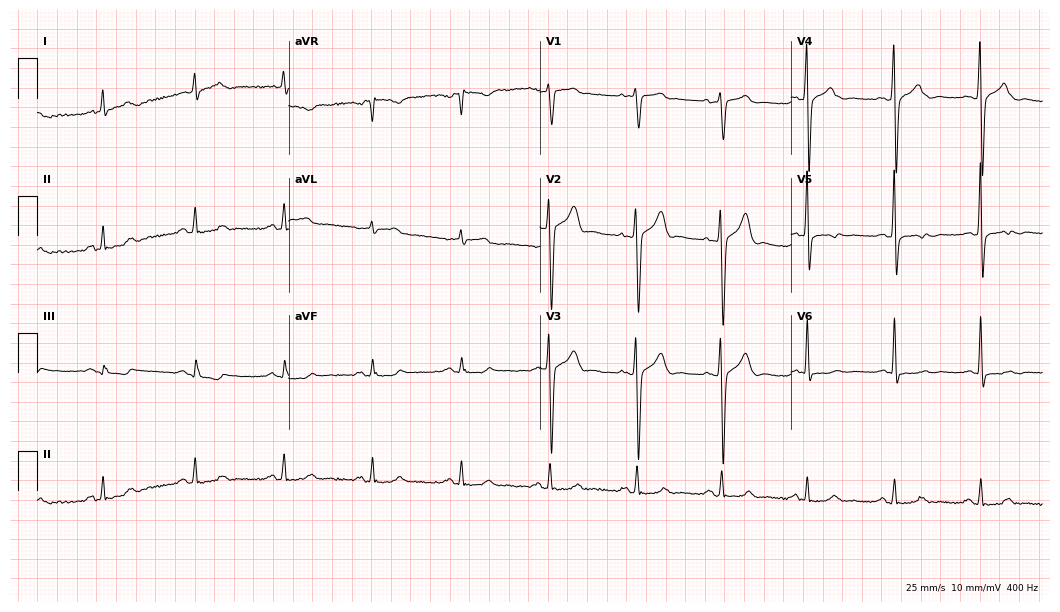
ECG — a male, 38 years old. Screened for six findings — first-degree AV block, right bundle branch block (RBBB), left bundle branch block (LBBB), sinus bradycardia, atrial fibrillation (AF), sinus tachycardia — none is recorded. Other findings, if any, are not listed.